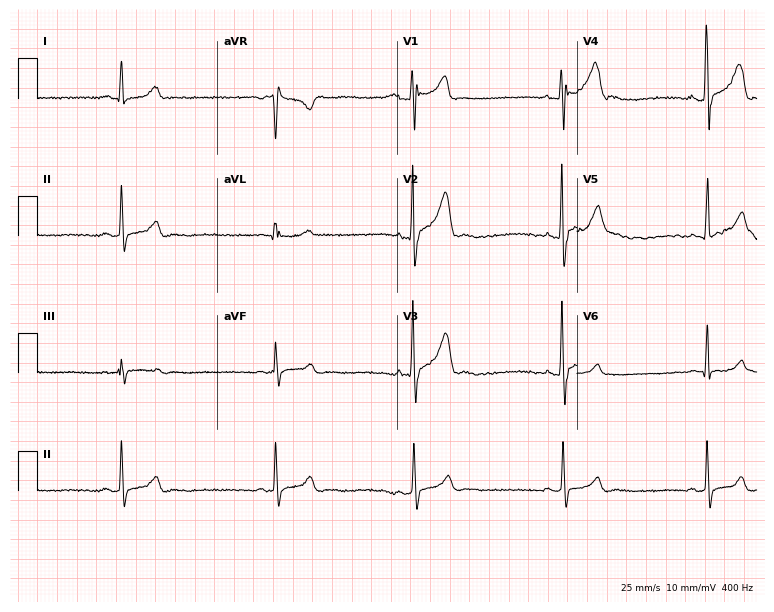
Electrocardiogram, a 24-year-old male patient. Of the six screened findings (first-degree AV block, right bundle branch block, left bundle branch block, sinus bradycardia, atrial fibrillation, sinus tachycardia), none is recorded.